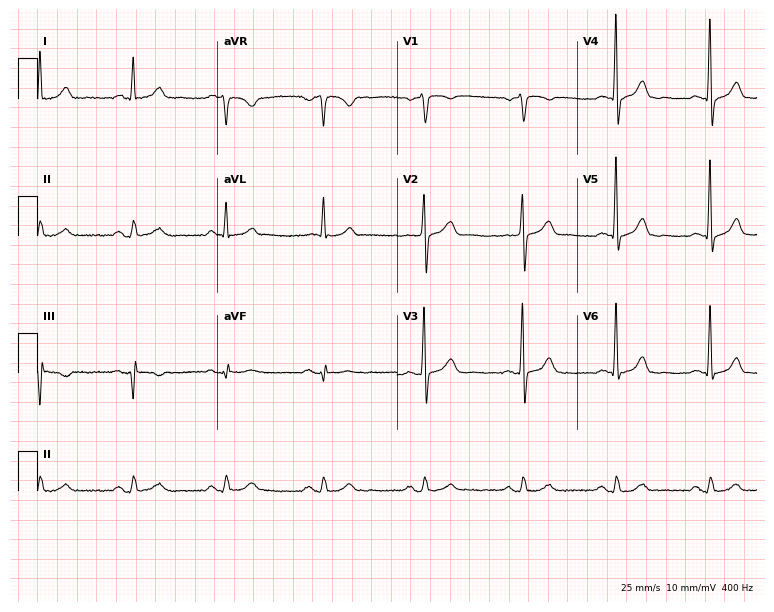
12-lead ECG from a 56-year-old man. Labelled as a normal ECG.